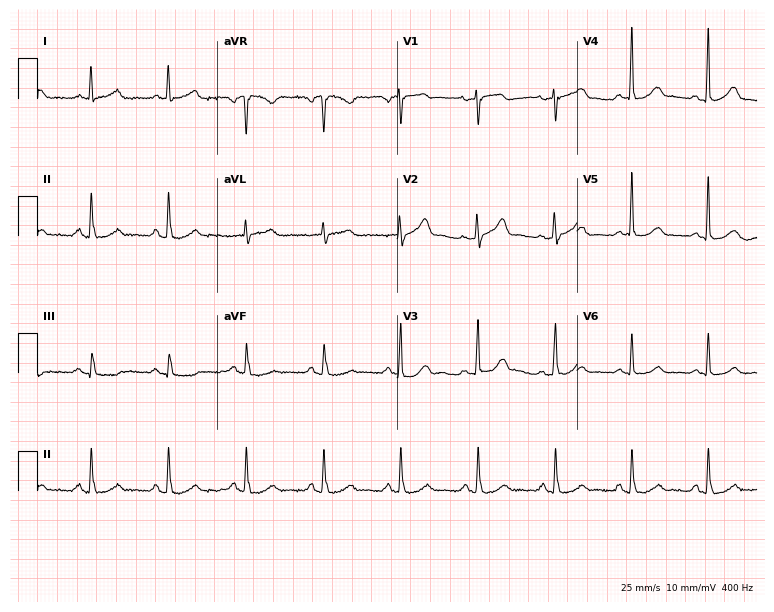
Resting 12-lead electrocardiogram (7.3-second recording at 400 Hz). Patient: a male, 78 years old. None of these six findings is recorded: first-degree AV block, right bundle branch block, left bundle branch block, sinus bradycardia, atrial fibrillation, sinus tachycardia. Only these six findings were labelled.